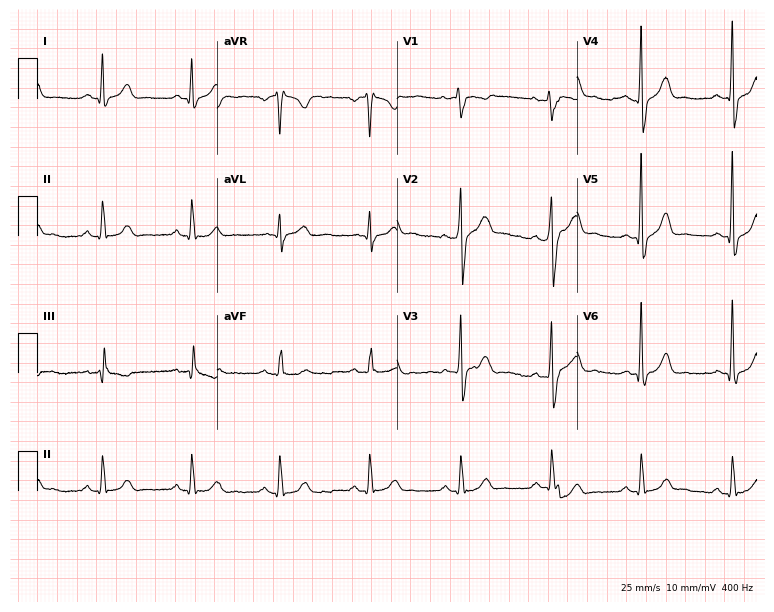
Electrocardiogram, a male, 56 years old. Of the six screened findings (first-degree AV block, right bundle branch block, left bundle branch block, sinus bradycardia, atrial fibrillation, sinus tachycardia), none is recorded.